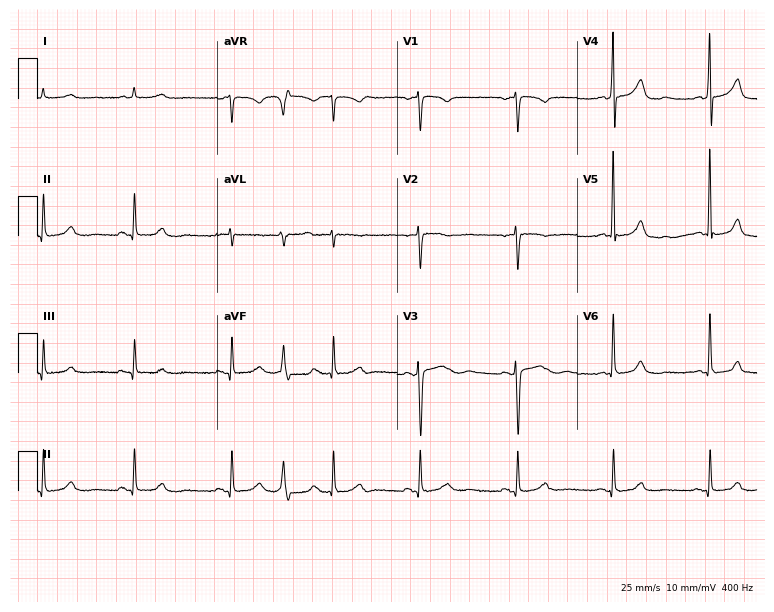
12-lead ECG from a 64-year-old woman. Labelled as a normal ECG.